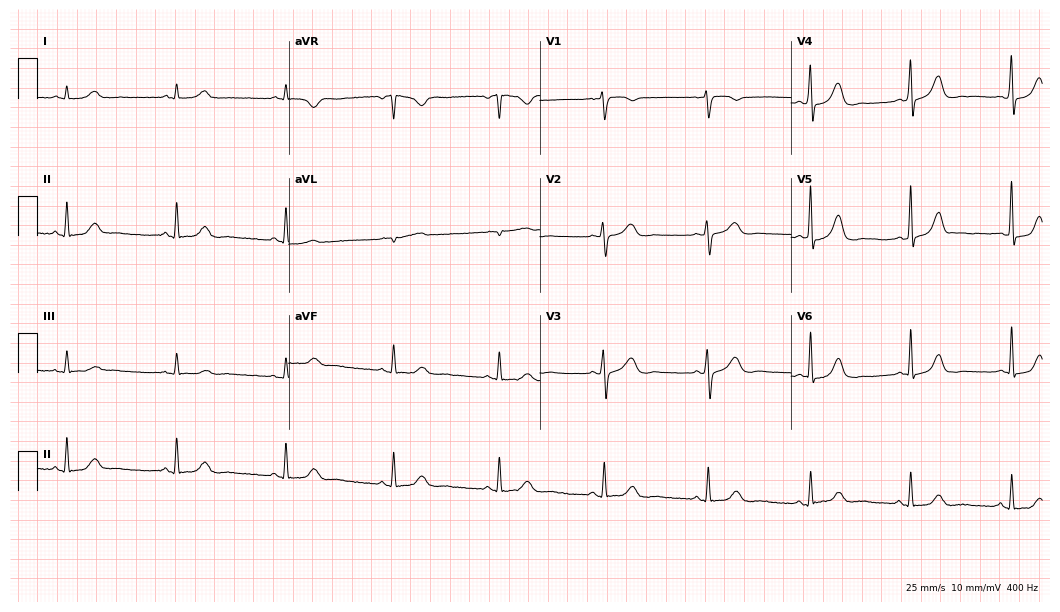
Resting 12-lead electrocardiogram (10.2-second recording at 400 Hz). Patient: a 55-year-old female. Read as a normal ECG.